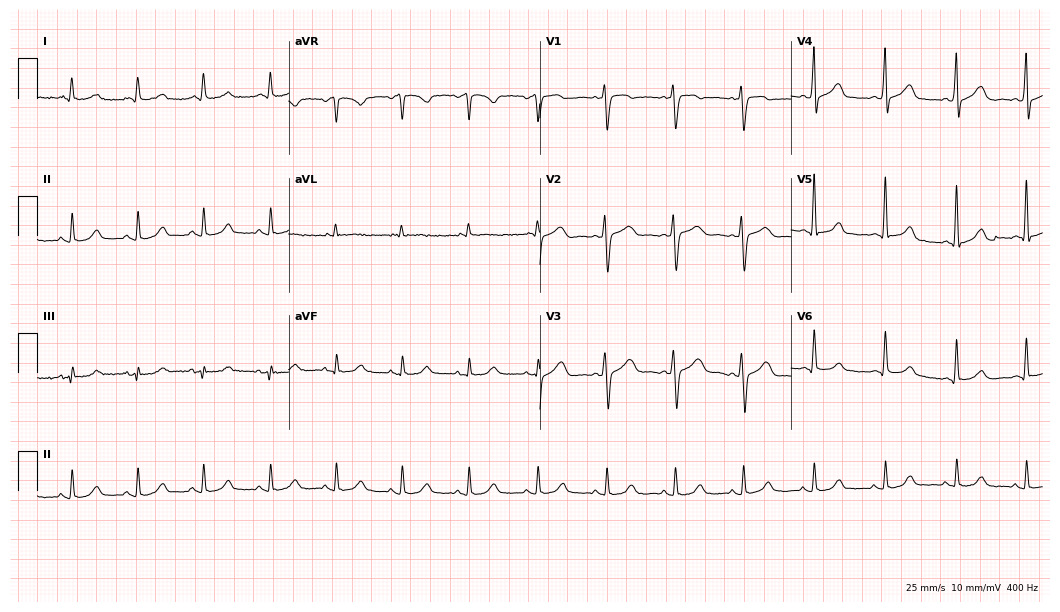
Resting 12-lead electrocardiogram (10.2-second recording at 400 Hz). Patient: a female, 53 years old. Read as a normal ECG.